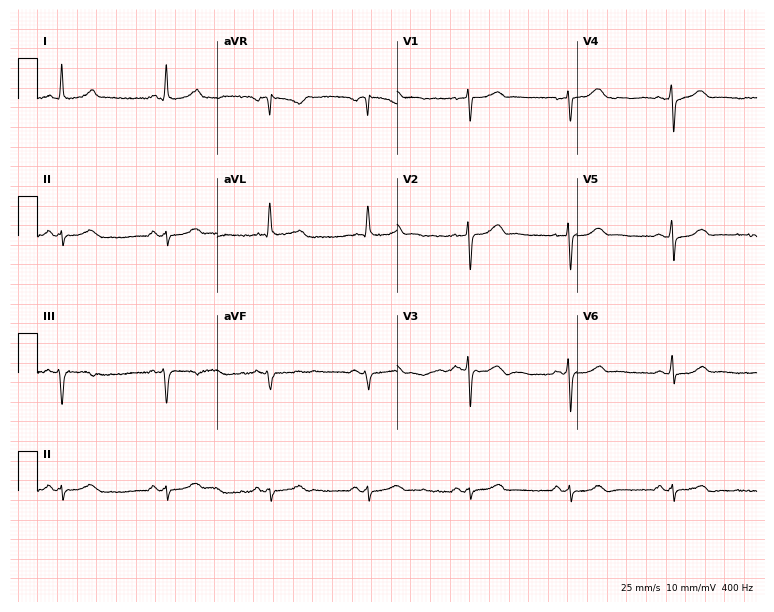
12-lead ECG from a 54-year-old female patient. No first-degree AV block, right bundle branch block, left bundle branch block, sinus bradycardia, atrial fibrillation or sinus tachycardia recorded for this tracing.